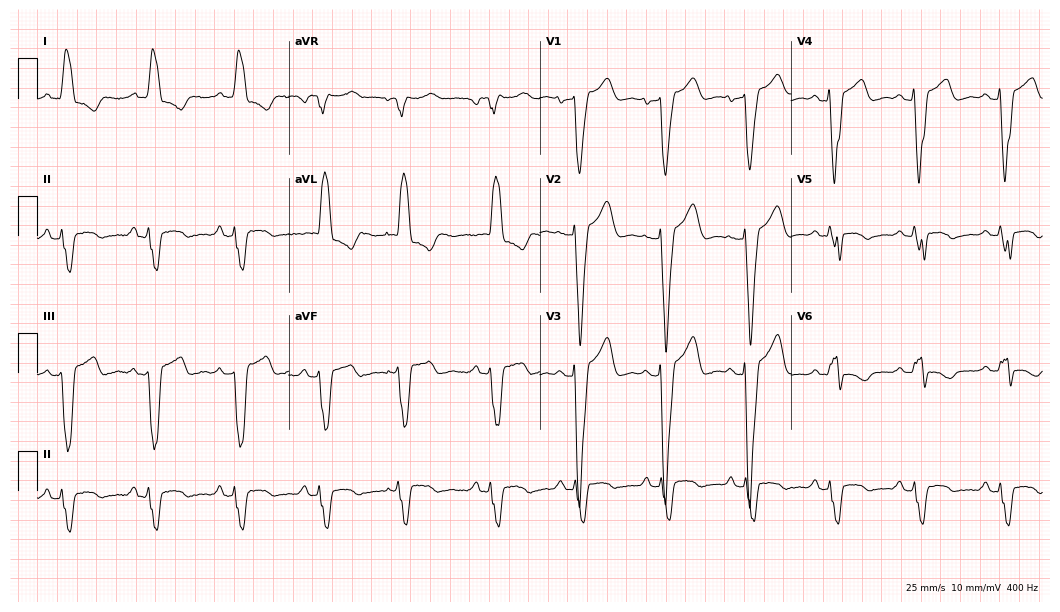
ECG — a 73-year-old woman. Findings include left bundle branch block (LBBB).